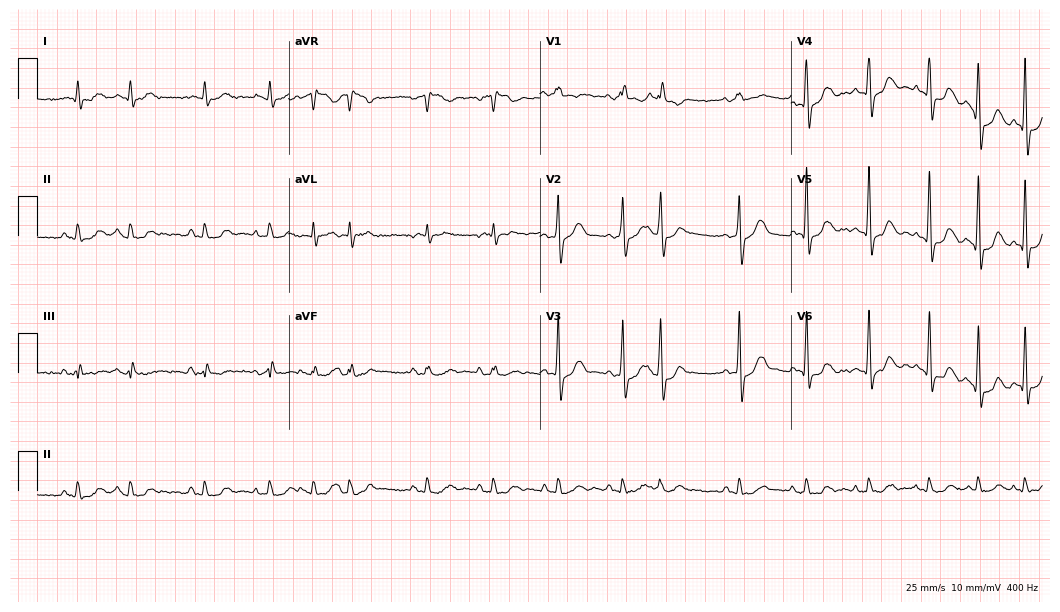
ECG — a male patient, 73 years old. Screened for six findings — first-degree AV block, right bundle branch block, left bundle branch block, sinus bradycardia, atrial fibrillation, sinus tachycardia — none is recorded. Other findings, if any, are not listed.